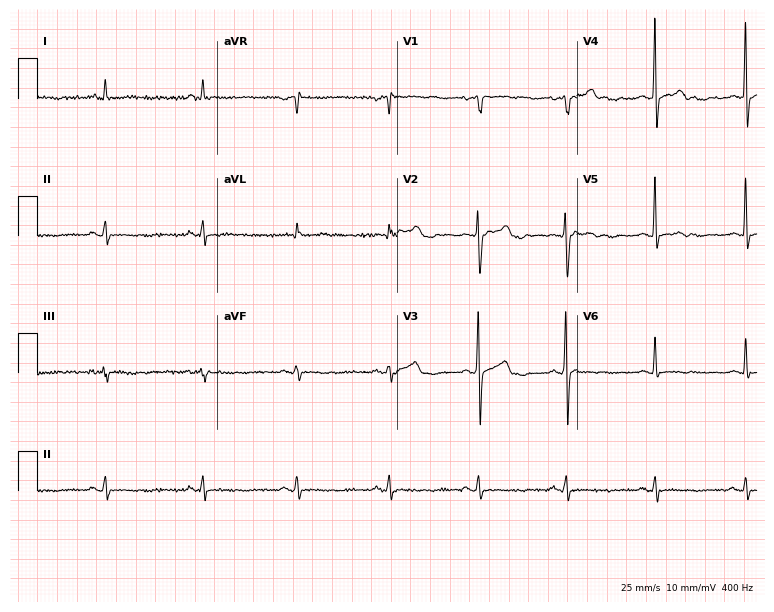
12-lead ECG from a male, 32 years old. Screened for six findings — first-degree AV block, right bundle branch block, left bundle branch block, sinus bradycardia, atrial fibrillation, sinus tachycardia — none is recorded.